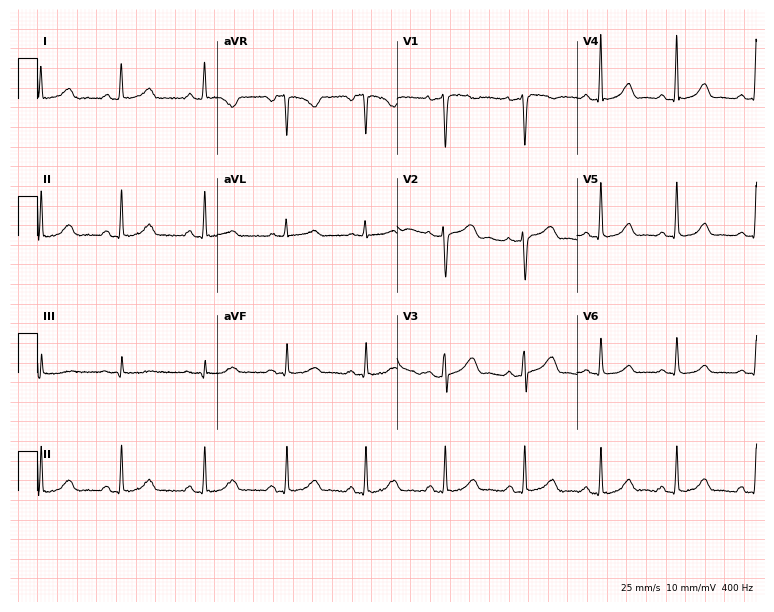
Resting 12-lead electrocardiogram. Patient: a woman, 52 years old. None of these six findings is recorded: first-degree AV block, right bundle branch block, left bundle branch block, sinus bradycardia, atrial fibrillation, sinus tachycardia. Other findings, if any, are not listed.